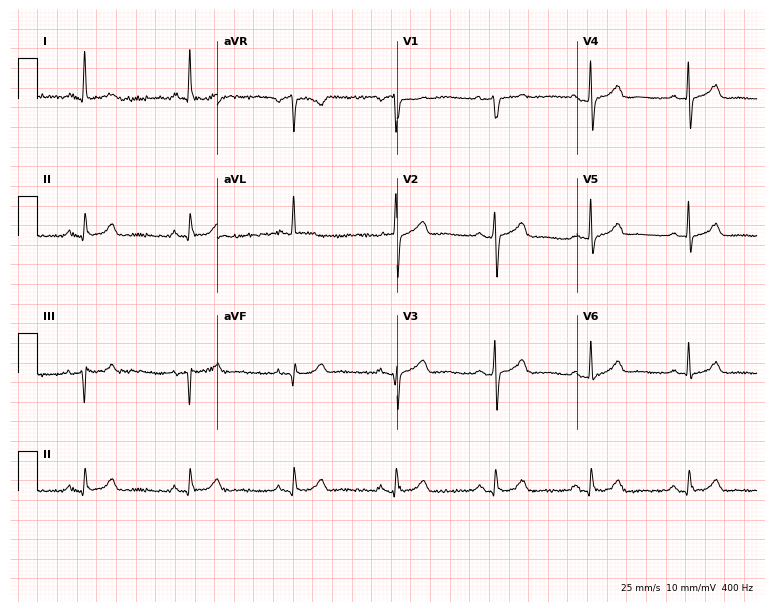
Standard 12-lead ECG recorded from a 68-year-old man (7.3-second recording at 400 Hz). Read as a normal ECG.